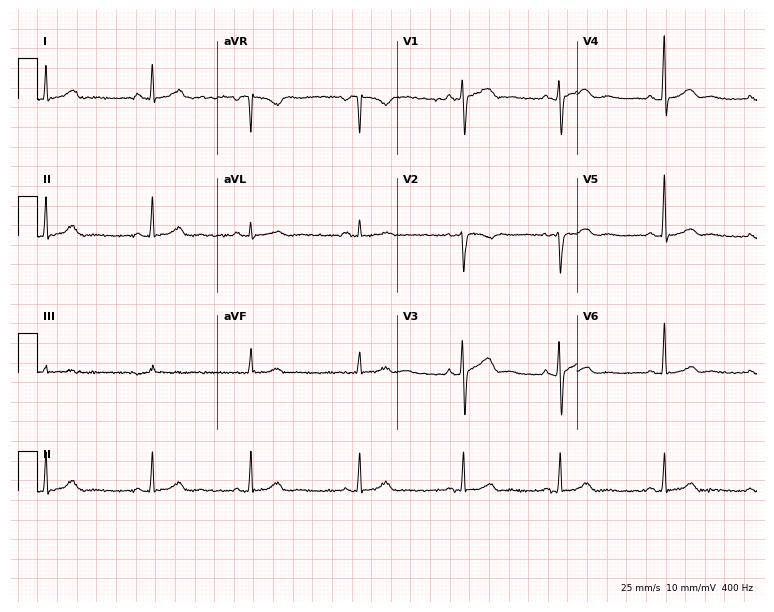
Electrocardiogram (7.3-second recording at 400 Hz), a woman, 39 years old. Overall reading on record: normal ECG.